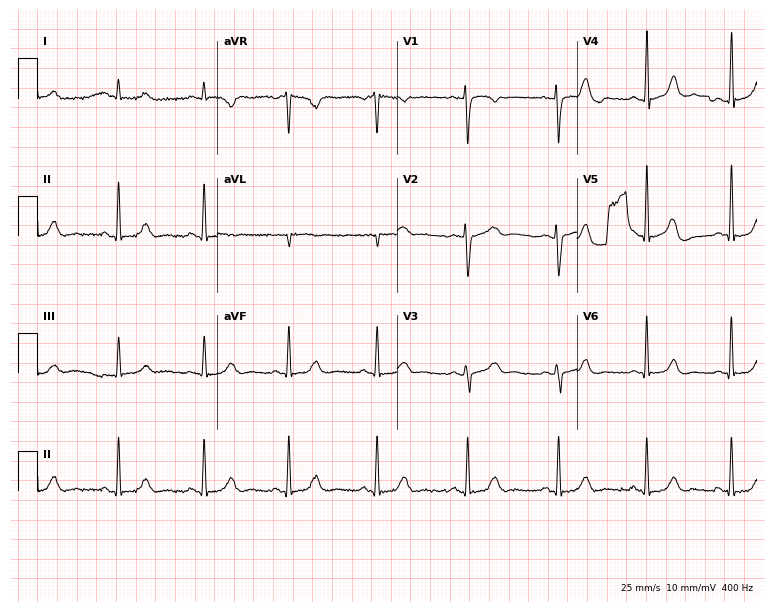
Electrocardiogram (7.3-second recording at 400 Hz), a woman, 53 years old. Overall reading on record: normal ECG.